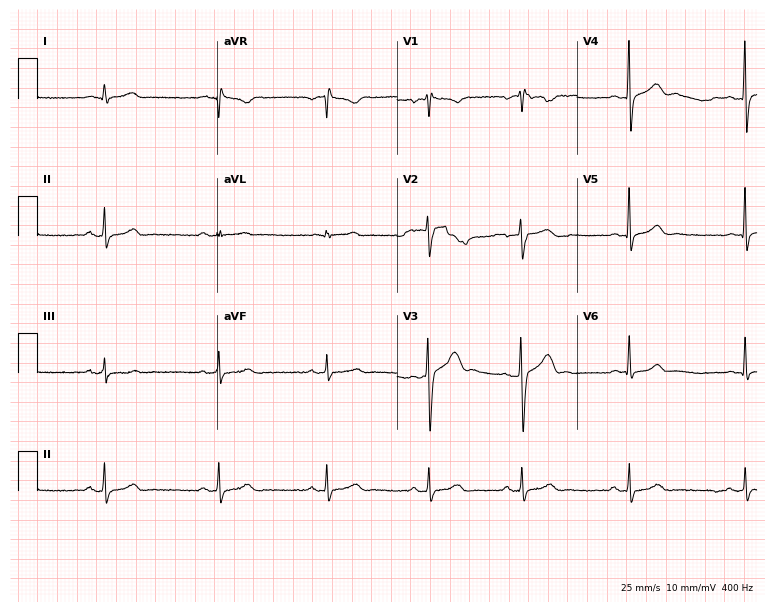
ECG (7.3-second recording at 400 Hz) — a male patient, 31 years old. Labelled as a normal ECG.